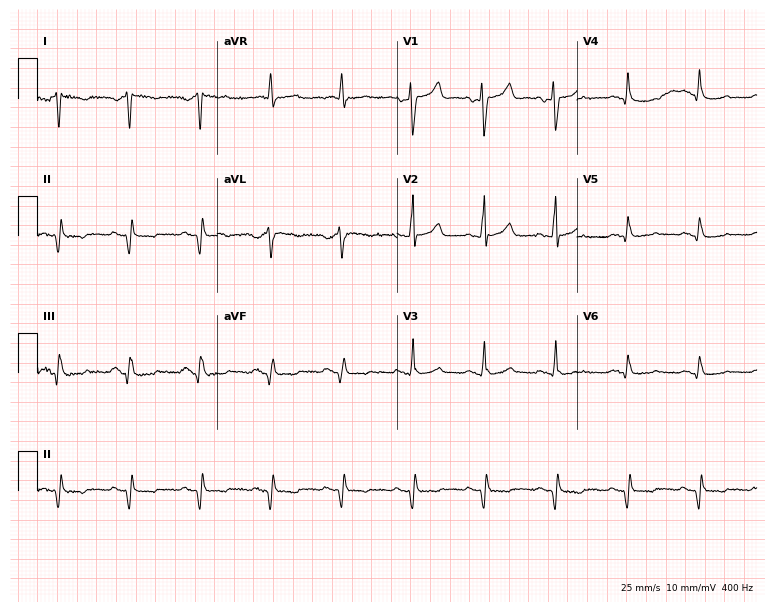
Standard 12-lead ECG recorded from a 67-year-old male. None of these six findings is recorded: first-degree AV block, right bundle branch block, left bundle branch block, sinus bradycardia, atrial fibrillation, sinus tachycardia. Other findings, if any, are not listed.